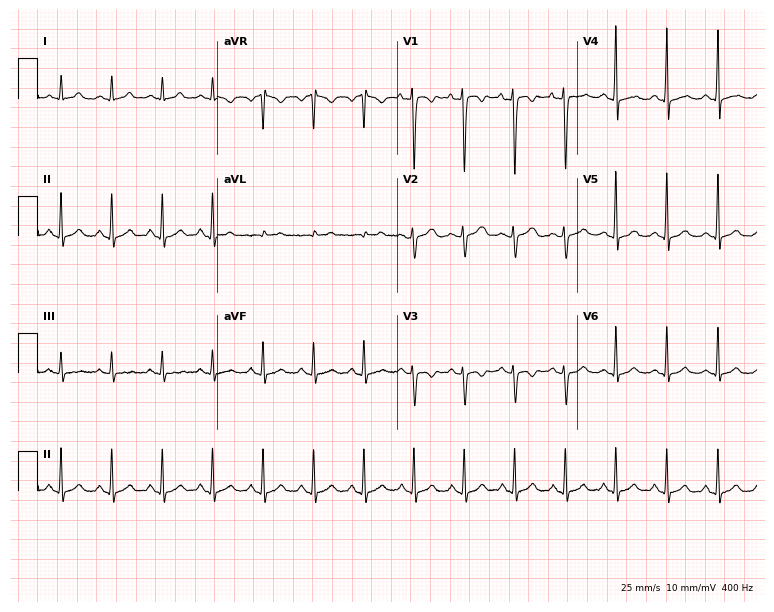
12-lead ECG from a woman, 22 years old. Shows sinus tachycardia (a sinus rate of 100 beats per minute or more).